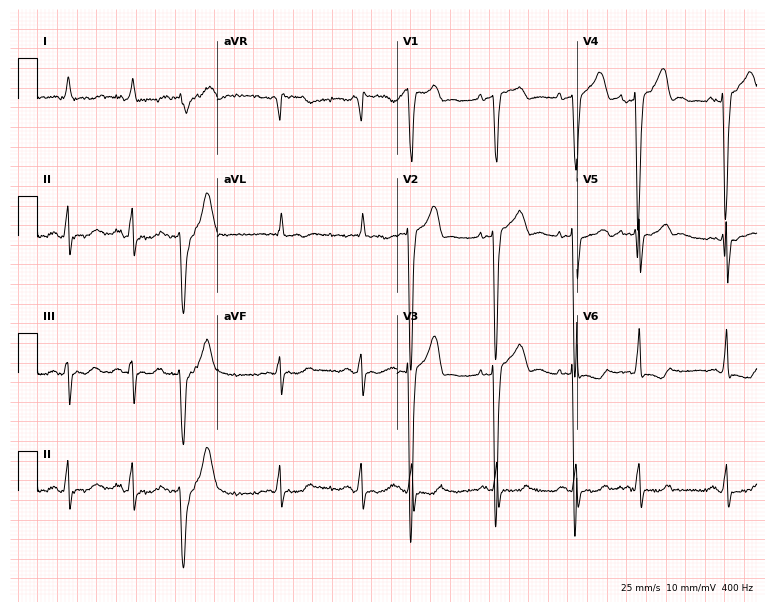
12-lead ECG from a 75-year-old female patient (7.3-second recording at 400 Hz). No first-degree AV block, right bundle branch block, left bundle branch block, sinus bradycardia, atrial fibrillation or sinus tachycardia recorded for this tracing. Findings outside these six are not listed.